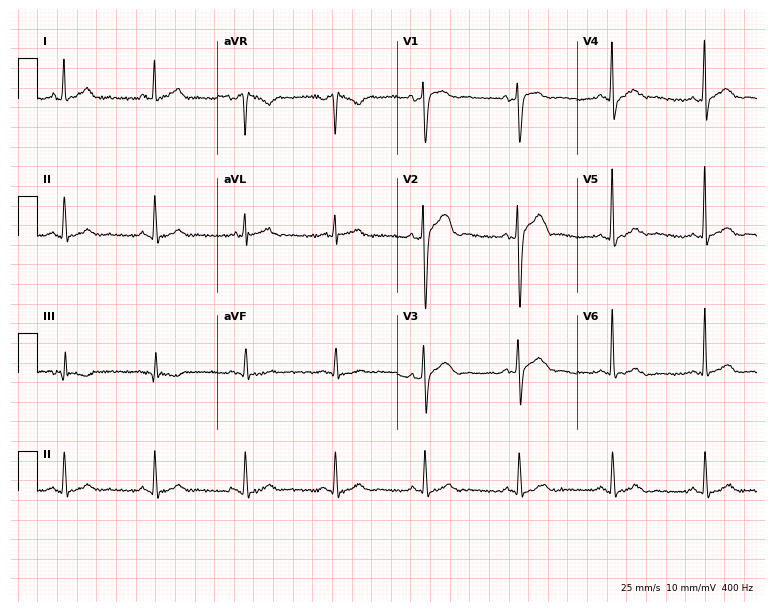
12-lead ECG from a 36-year-old male patient. No first-degree AV block, right bundle branch block, left bundle branch block, sinus bradycardia, atrial fibrillation or sinus tachycardia recorded for this tracing.